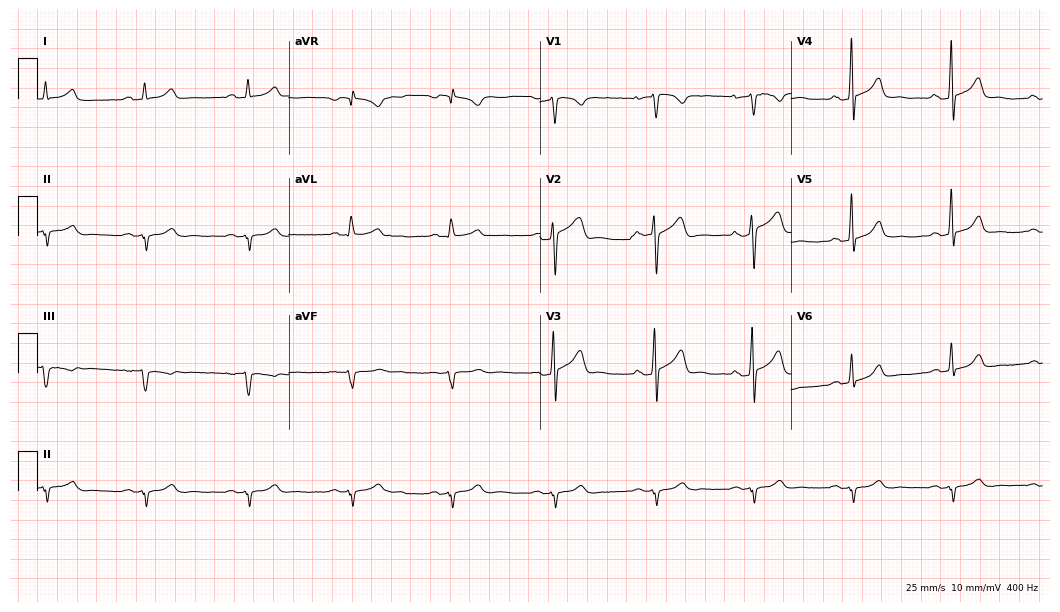
12-lead ECG from a 56-year-old male (10.2-second recording at 400 Hz). No first-degree AV block, right bundle branch block, left bundle branch block, sinus bradycardia, atrial fibrillation or sinus tachycardia recorded for this tracing. Other findings, if any, are not listed.